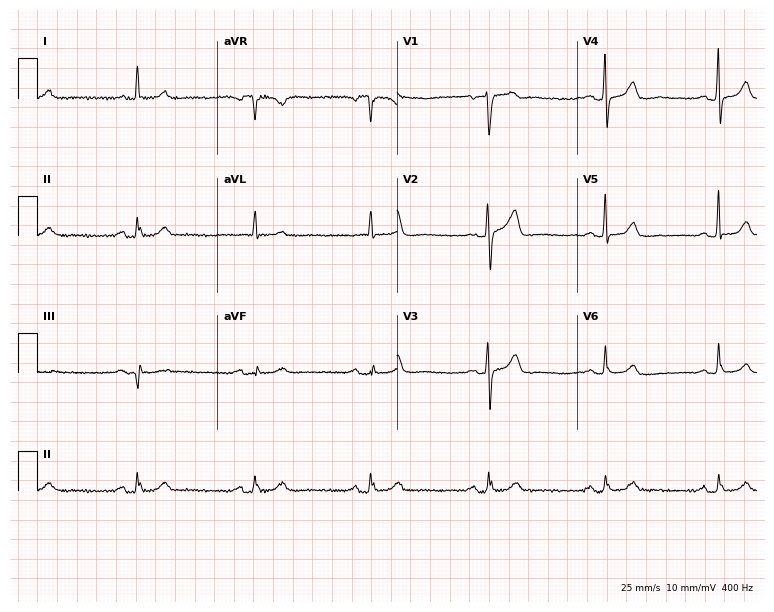
Standard 12-lead ECG recorded from a male, 71 years old (7.3-second recording at 400 Hz). The tracing shows sinus bradycardia (a sinus rate of 50 beats per minute or less).